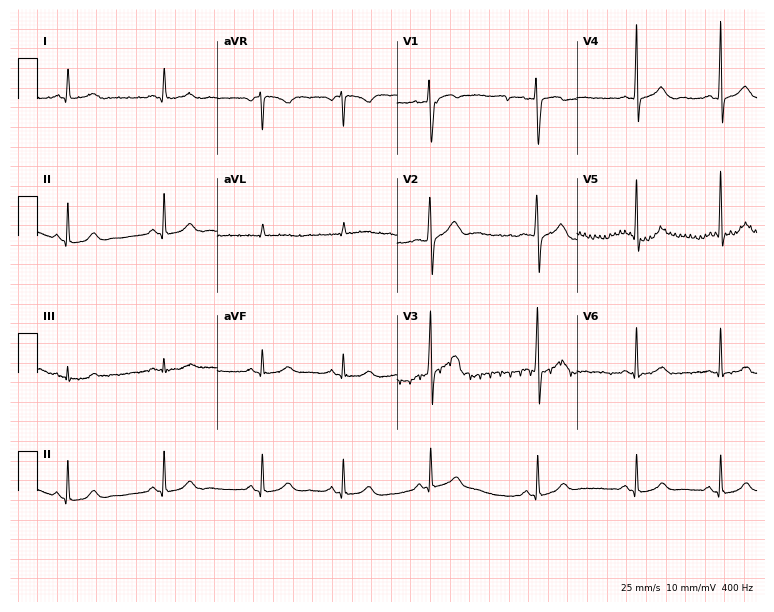
Electrocardiogram (7.3-second recording at 400 Hz), a woman, 23 years old. Overall reading on record: normal ECG.